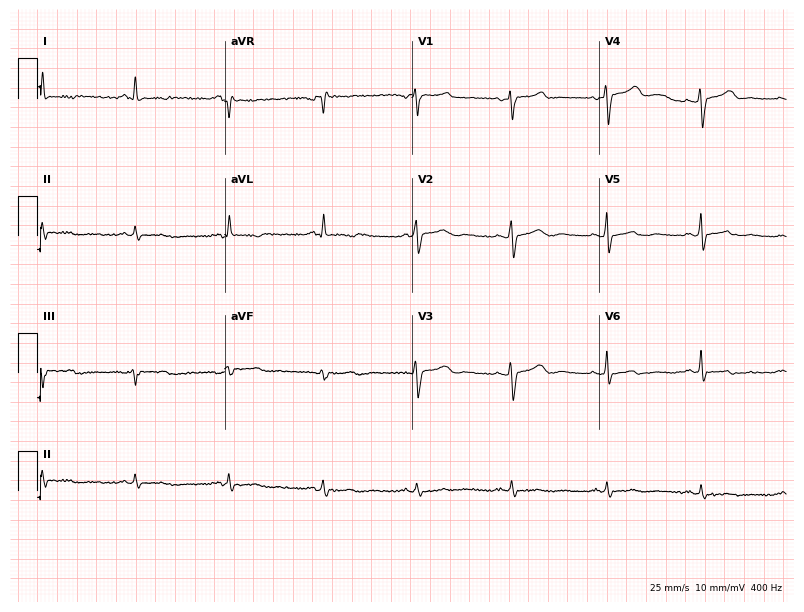
Electrocardiogram (7.6-second recording at 400 Hz), a 60-year-old female. Of the six screened findings (first-degree AV block, right bundle branch block (RBBB), left bundle branch block (LBBB), sinus bradycardia, atrial fibrillation (AF), sinus tachycardia), none is recorded. Only these six findings were labelled.